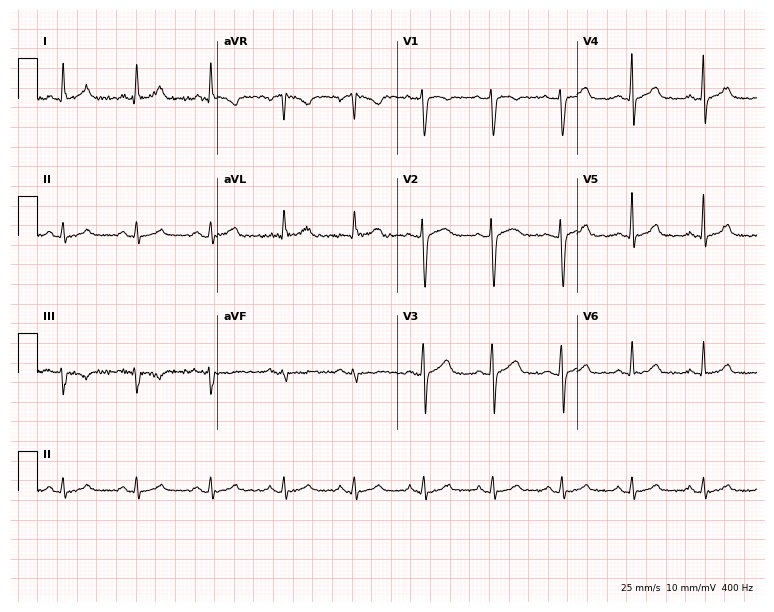
Resting 12-lead electrocardiogram (7.3-second recording at 400 Hz). Patient: a female, 40 years old. Read as a normal ECG.